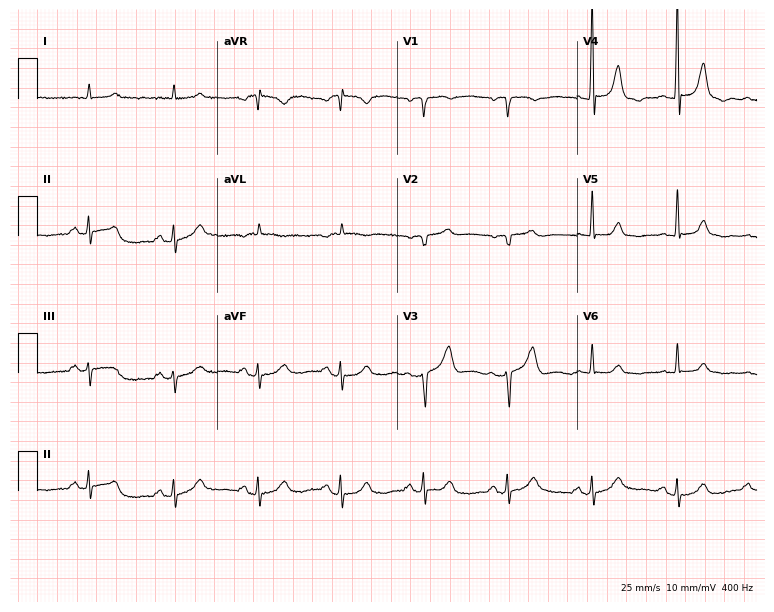
12-lead ECG from a male patient, 83 years old (7.3-second recording at 400 Hz). No first-degree AV block, right bundle branch block (RBBB), left bundle branch block (LBBB), sinus bradycardia, atrial fibrillation (AF) or sinus tachycardia recorded for this tracing.